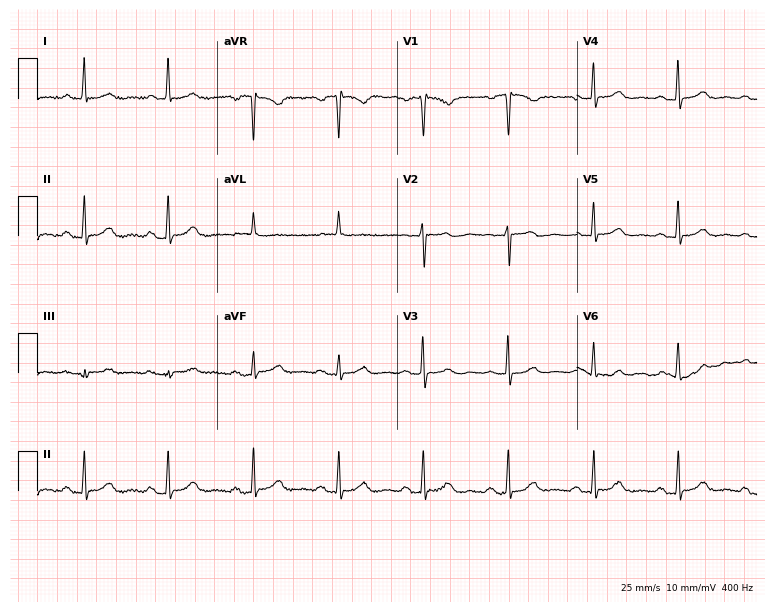
12-lead ECG from a 66-year-old woman. Labelled as a normal ECG.